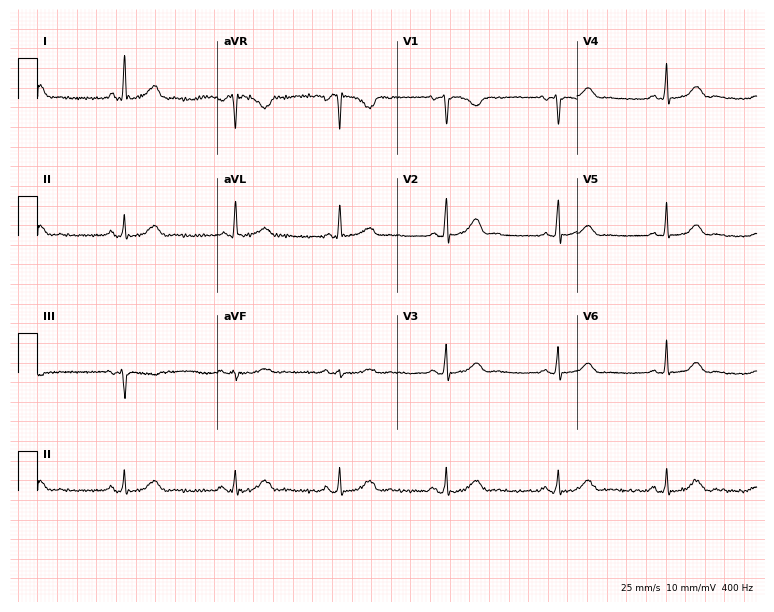
Electrocardiogram, a woman, 56 years old. Overall reading on record: normal ECG.